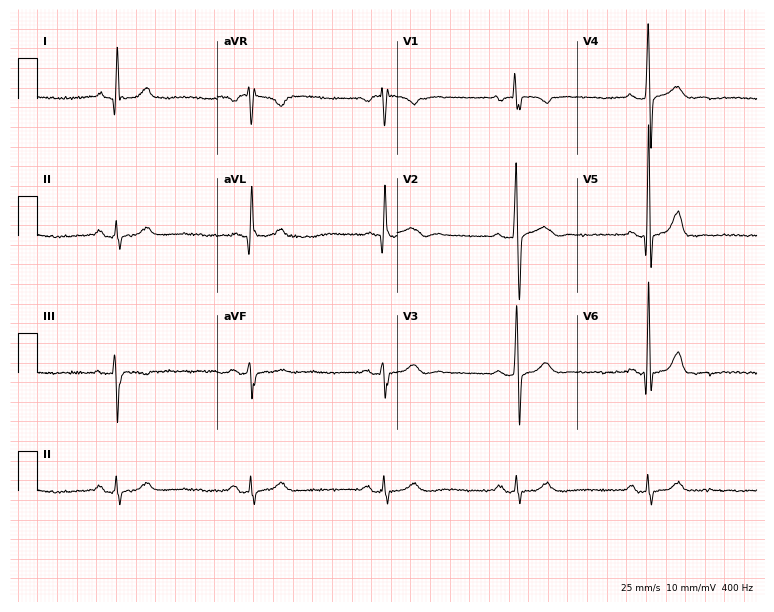
12-lead ECG from a 74-year-old male patient. Findings include sinus bradycardia (a sinus rate of 50 beats per minute or less).